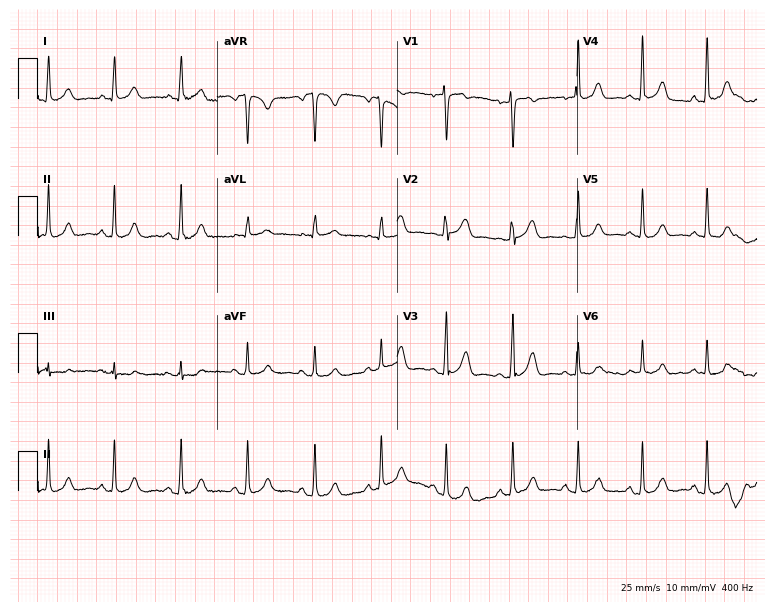
Electrocardiogram, a 61-year-old female patient. Overall reading on record: normal ECG.